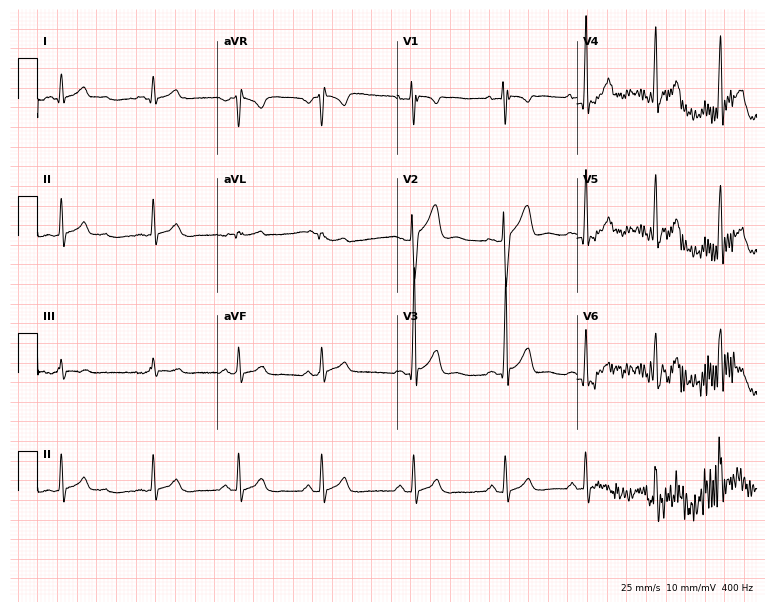
ECG — a female patient, 18 years old. Screened for six findings — first-degree AV block, right bundle branch block, left bundle branch block, sinus bradycardia, atrial fibrillation, sinus tachycardia — none is recorded.